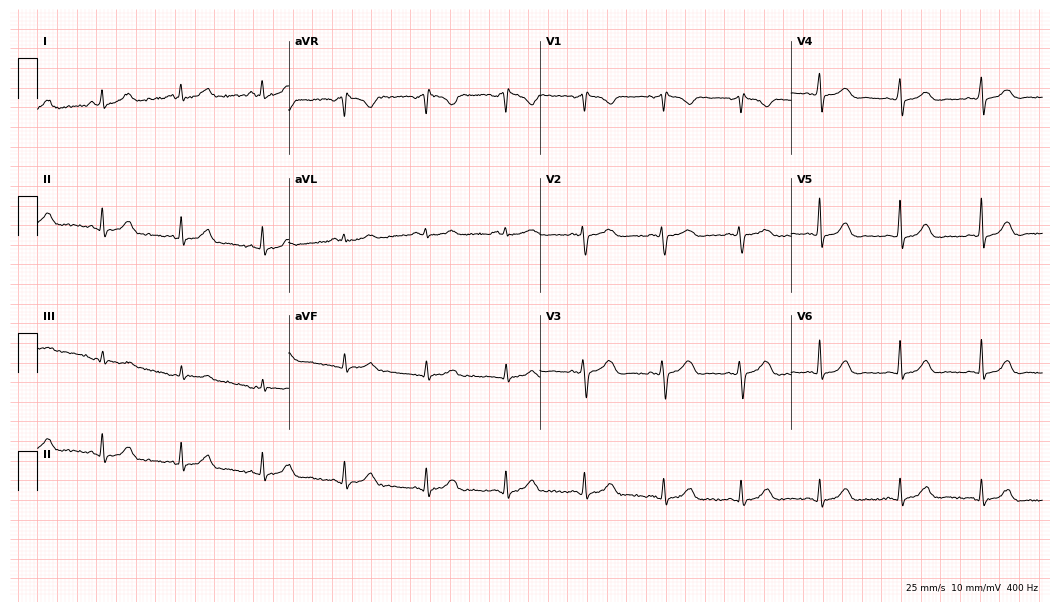
Standard 12-lead ECG recorded from a 45-year-old woman (10.2-second recording at 400 Hz). Read as a normal ECG.